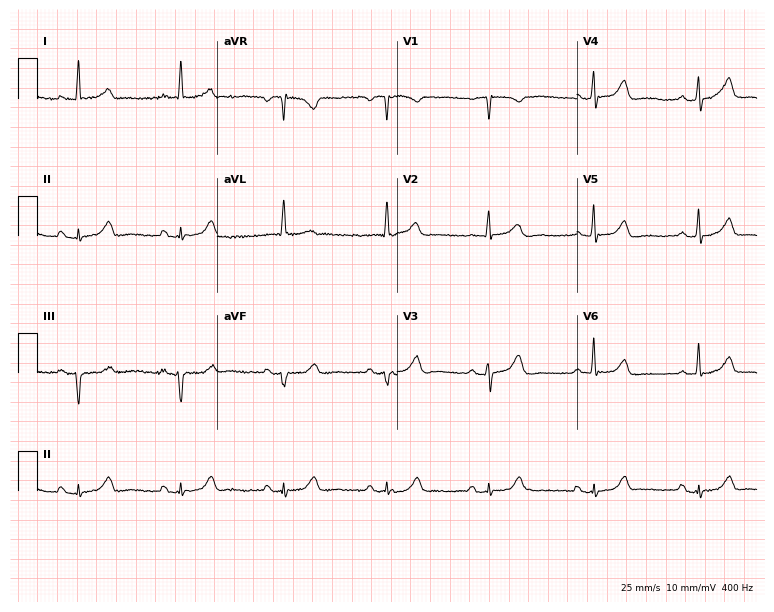
Resting 12-lead electrocardiogram (7.3-second recording at 400 Hz). Patient: a 72-year-old woman. Read as a normal ECG.